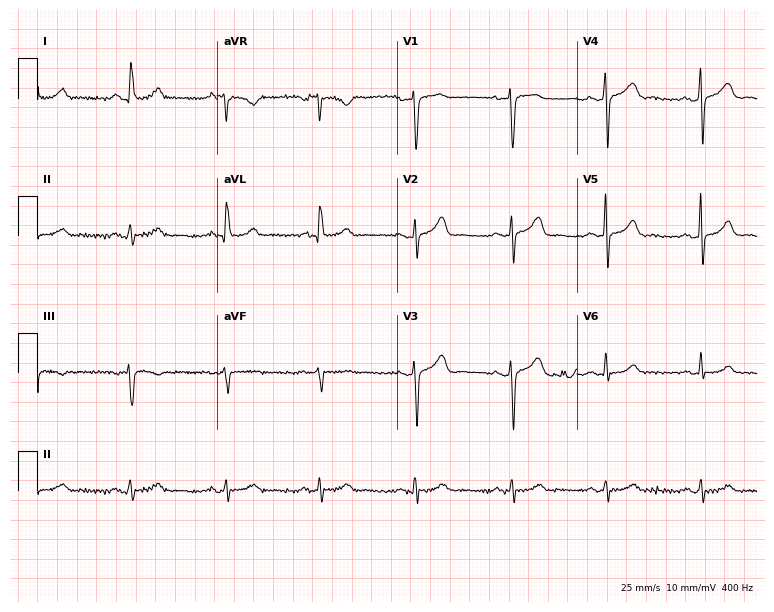
12-lead ECG from a 71-year-old female patient. Labelled as a normal ECG.